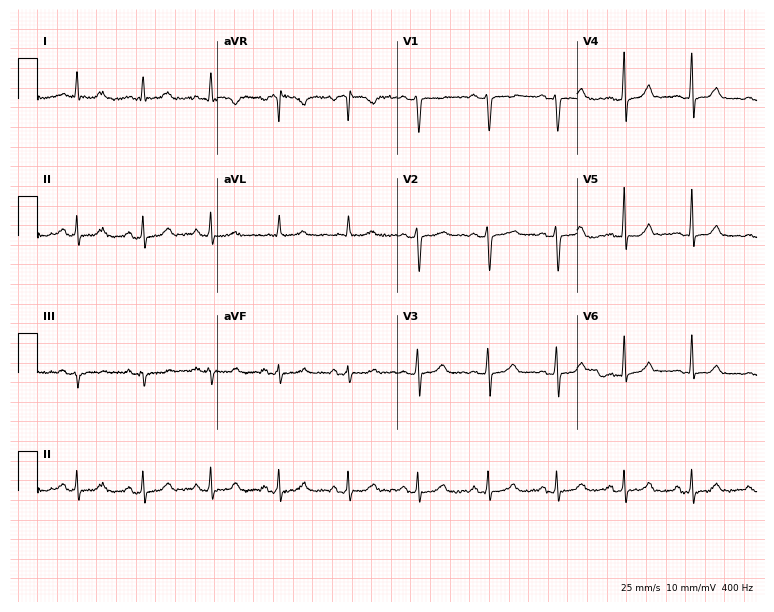
Standard 12-lead ECG recorded from a female, 43 years old. None of these six findings is recorded: first-degree AV block, right bundle branch block (RBBB), left bundle branch block (LBBB), sinus bradycardia, atrial fibrillation (AF), sinus tachycardia.